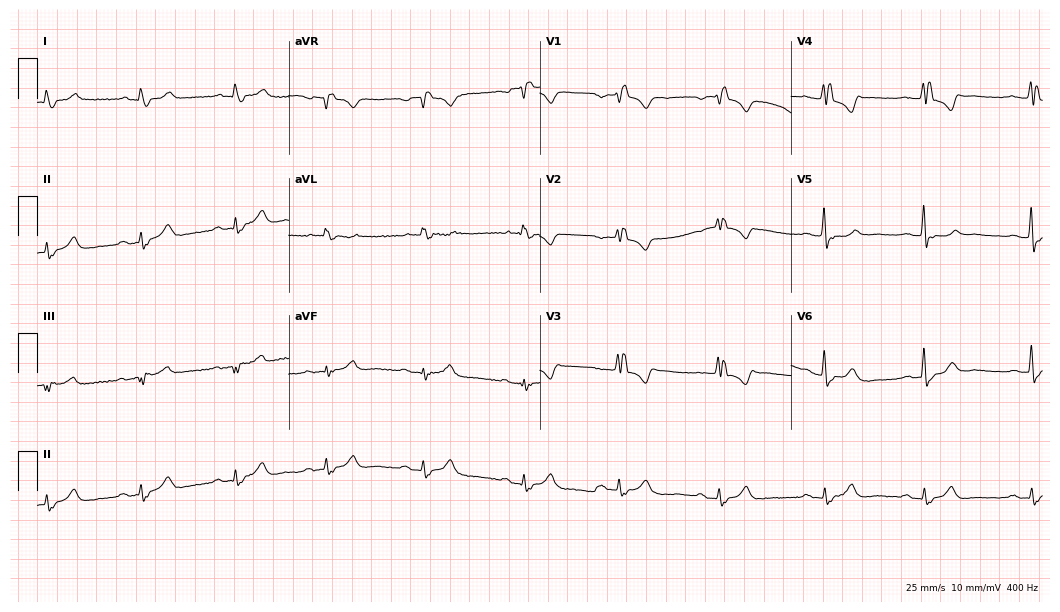
Standard 12-lead ECG recorded from a 64-year-old female (10.2-second recording at 400 Hz). The tracing shows right bundle branch block.